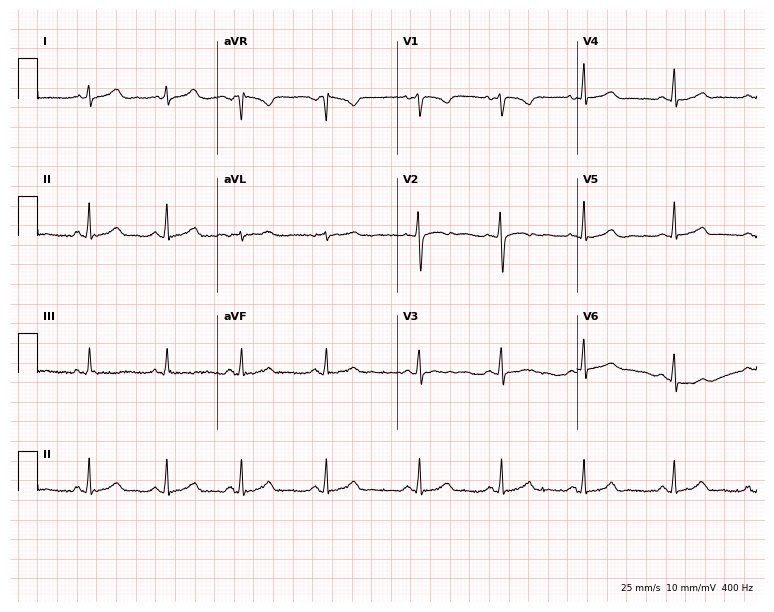
12-lead ECG from a woman, 23 years old. No first-degree AV block, right bundle branch block (RBBB), left bundle branch block (LBBB), sinus bradycardia, atrial fibrillation (AF) or sinus tachycardia recorded for this tracing. Only these six findings were labelled.